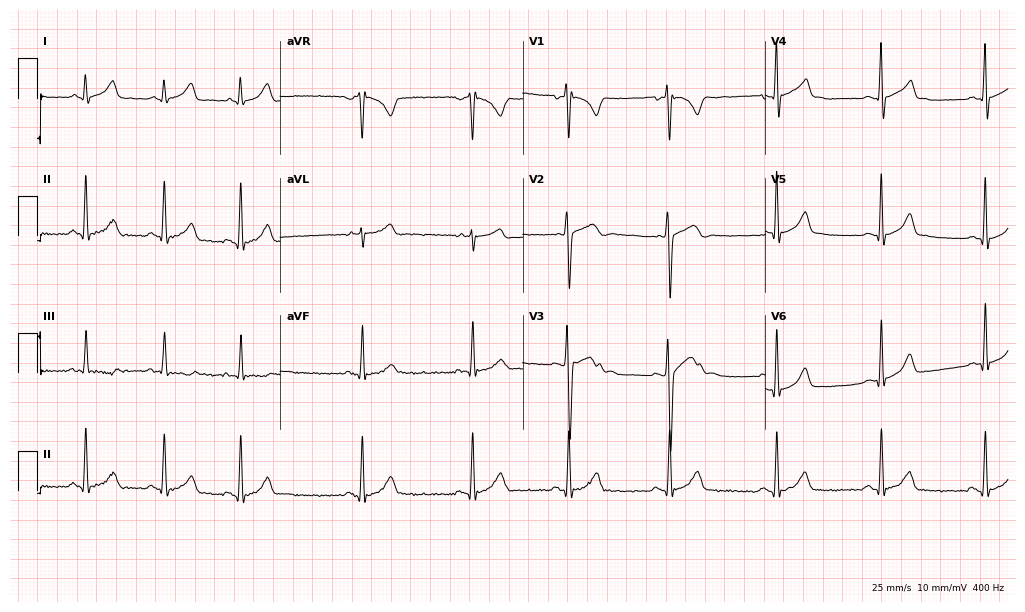
Resting 12-lead electrocardiogram (9.9-second recording at 400 Hz). Patient: a 17-year-old male. Read as a normal ECG.